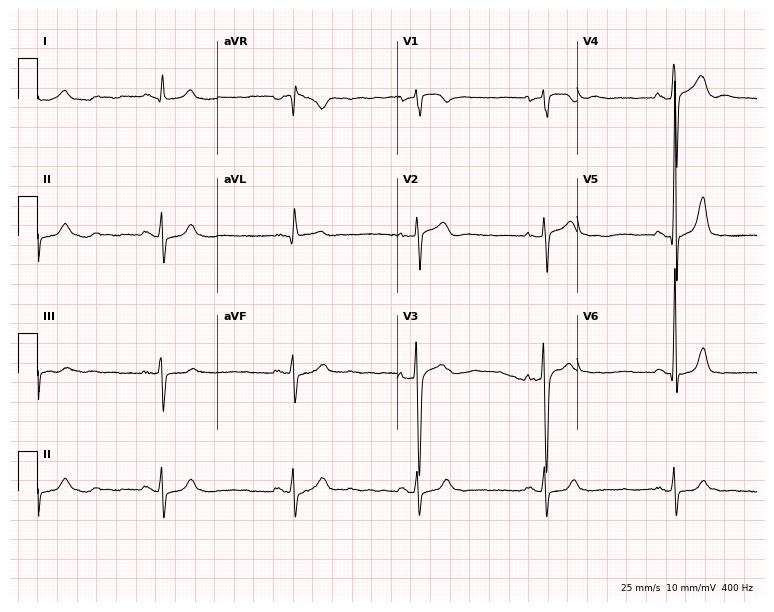
Electrocardiogram, a 57-year-old male. Interpretation includes sinus bradycardia (a sinus rate of 50 beats per minute or less).